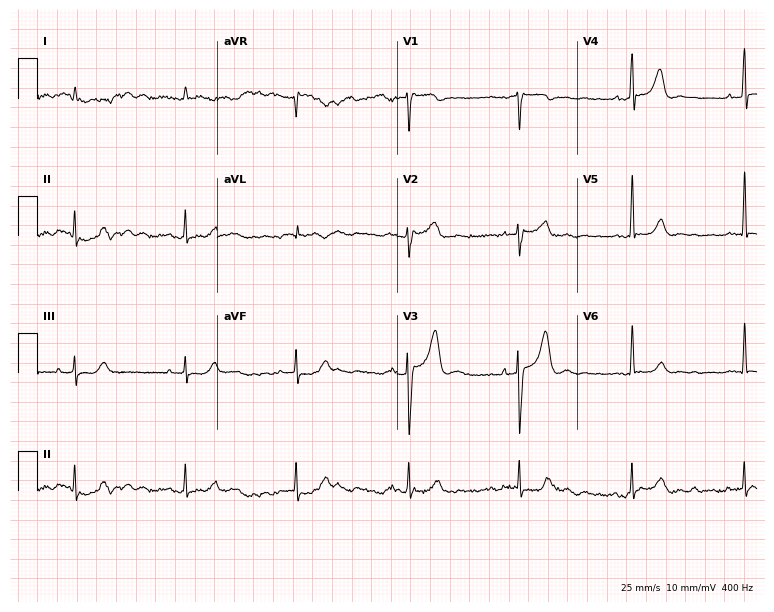
12-lead ECG from an 83-year-old male patient. No first-degree AV block, right bundle branch block (RBBB), left bundle branch block (LBBB), sinus bradycardia, atrial fibrillation (AF) or sinus tachycardia recorded for this tracing. Only these six findings were labelled.